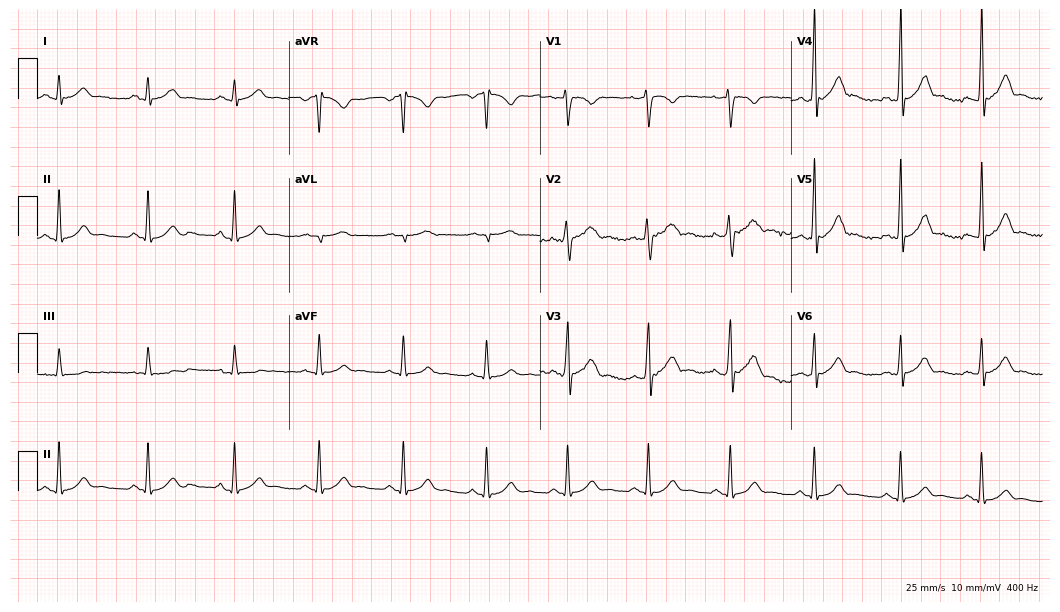
12-lead ECG from a 33-year-old man. Recorded interpretation: within normal limits.